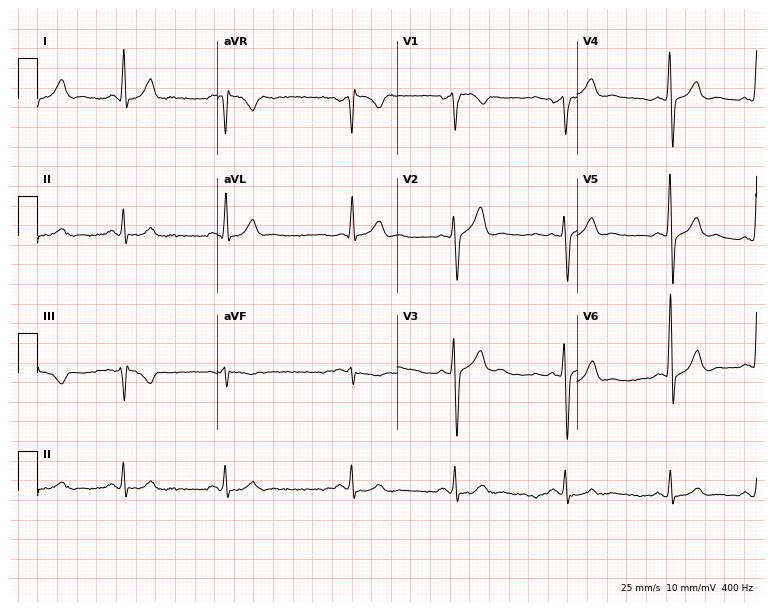
Electrocardiogram (7.3-second recording at 400 Hz), a male, 31 years old. Of the six screened findings (first-degree AV block, right bundle branch block, left bundle branch block, sinus bradycardia, atrial fibrillation, sinus tachycardia), none is recorded.